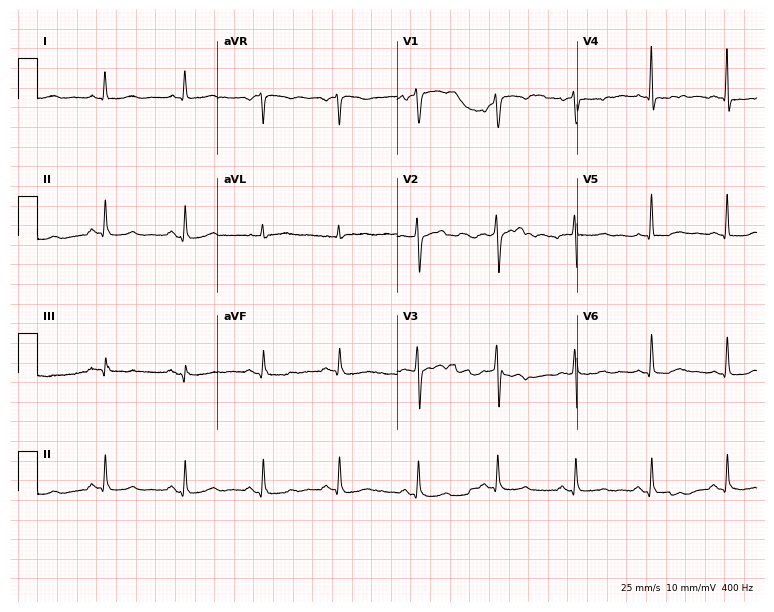
ECG — a female patient, 61 years old. Screened for six findings — first-degree AV block, right bundle branch block (RBBB), left bundle branch block (LBBB), sinus bradycardia, atrial fibrillation (AF), sinus tachycardia — none is recorded.